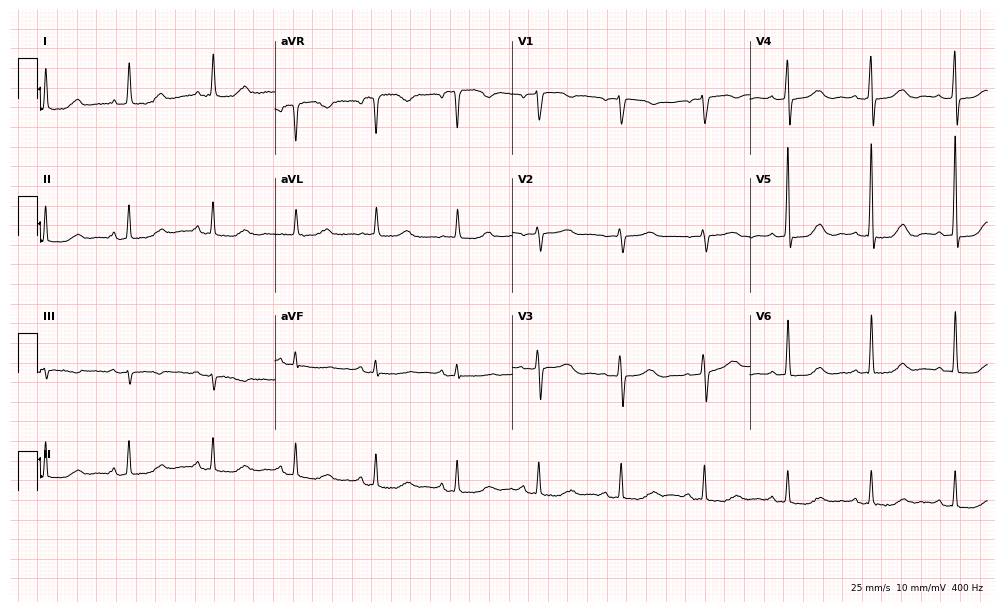
ECG (9.7-second recording at 400 Hz) — an 82-year-old female patient. Screened for six findings — first-degree AV block, right bundle branch block, left bundle branch block, sinus bradycardia, atrial fibrillation, sinus tachycardia — none is recorded.